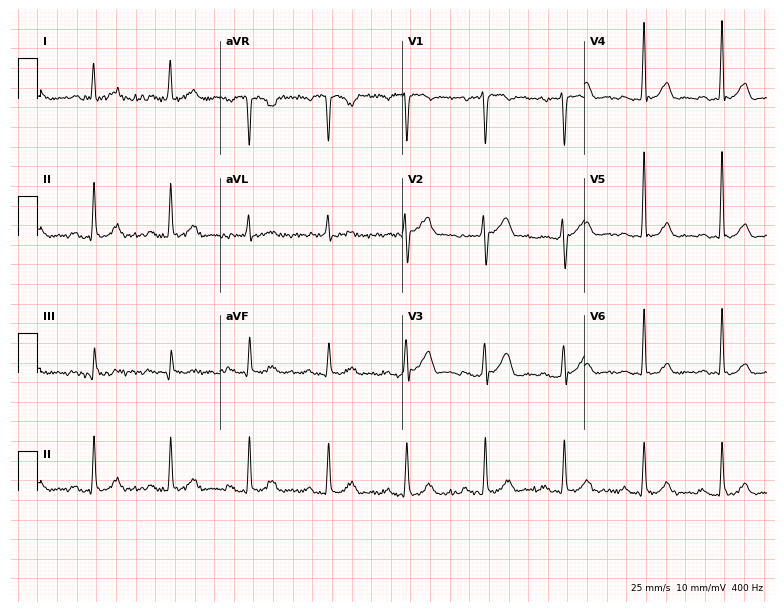
ECG (7.4-second recording at 400 Hz) — a male, 57 years old. Labelled as a normal ECG.